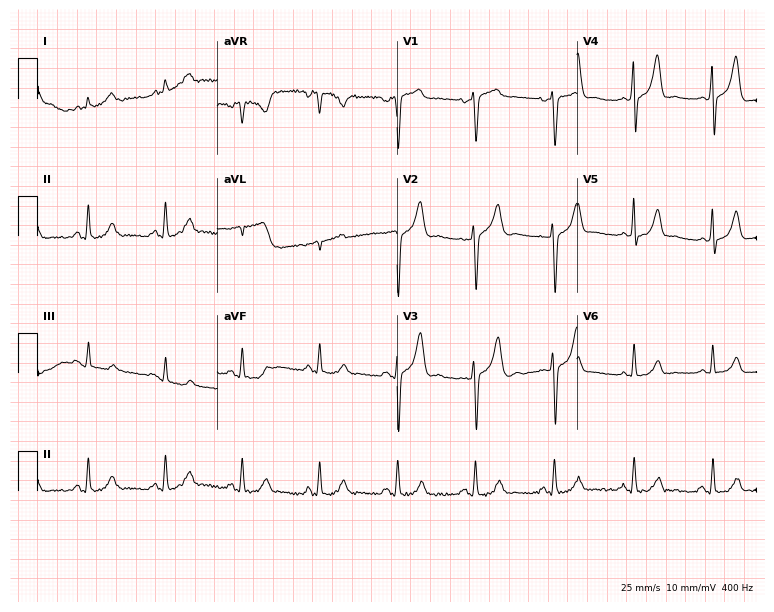
12-lead ECG from a male, 48 years old. No first-degree AV block, right bundle branch block, left bundle branch block, sinus bradycardia, atrial fibrillation or sinus tachycardia recorded for this tracing. Findings outside these six are not listed.